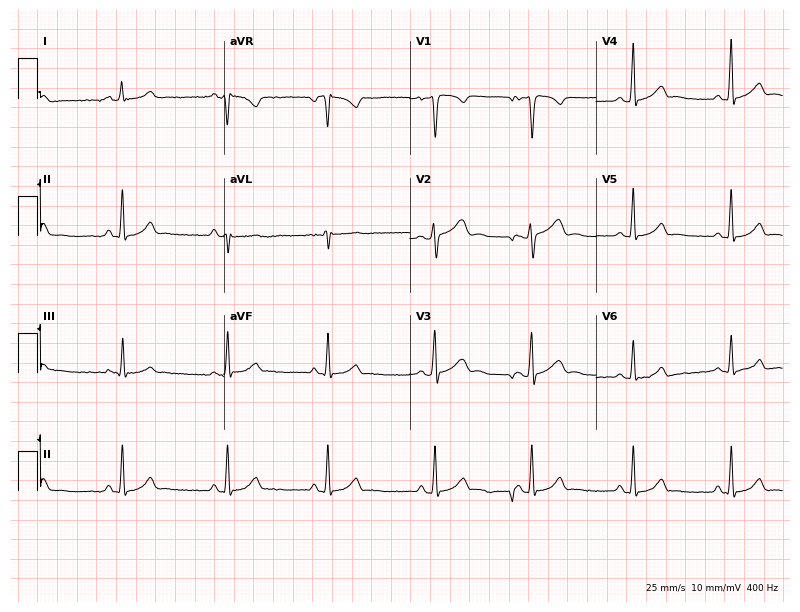
12-lead ECG (7.6-second recording at 400 Hz) from a 26-year-old female patient. Screened for six findings — first-degree AV block, right bundle branch block, left bundle branch block, sinus bradycardia, atrial fibrillation, sinus tachycardia — none is recorded.